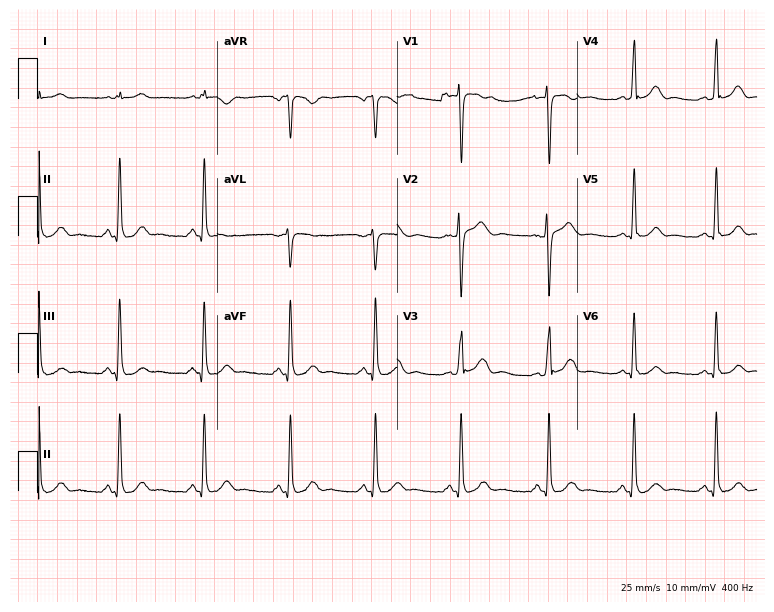
ECG (7.3-second recording at 400 Hz) — a man, 29 years old. Labelled as a normal ECG.